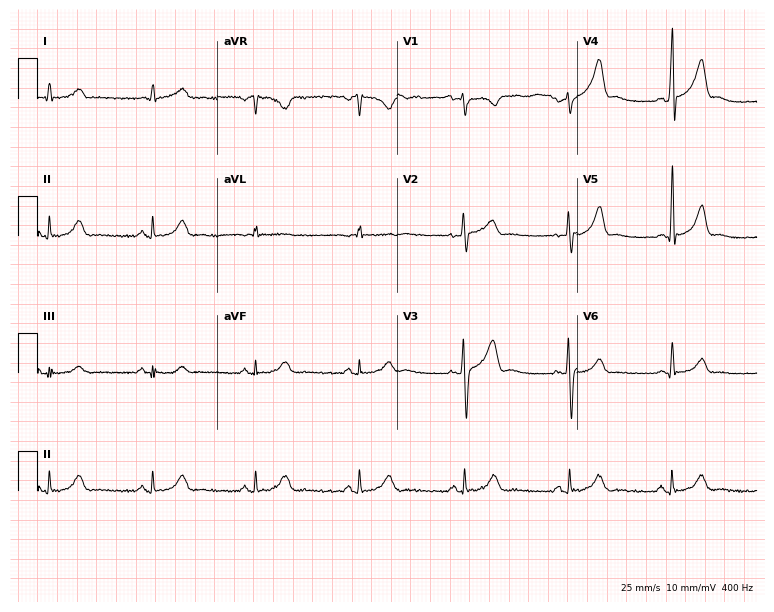
Electrocardiogram, a male patient, 40 years old. Overall reading on record: normal ECG.